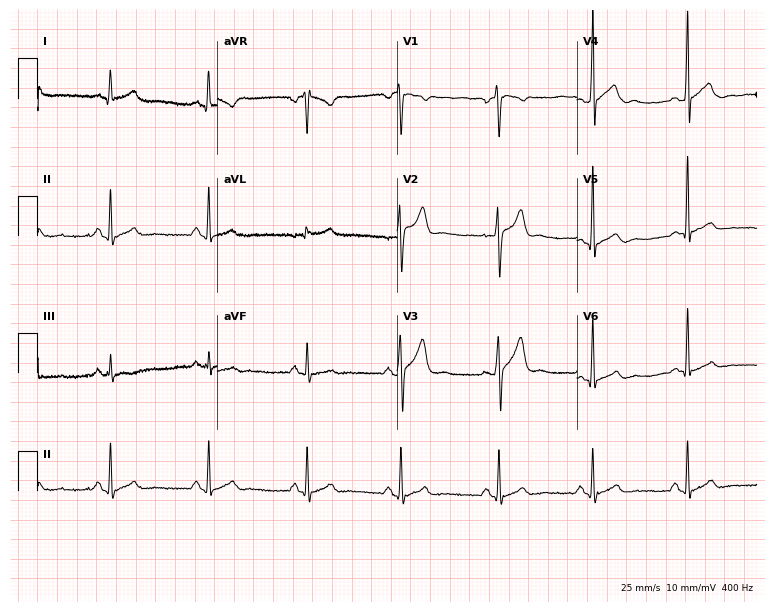
Electrocardiogram (7.3-second recording at 400 Hz), a male, 28 years old. Overall reading on record: normal ECG.